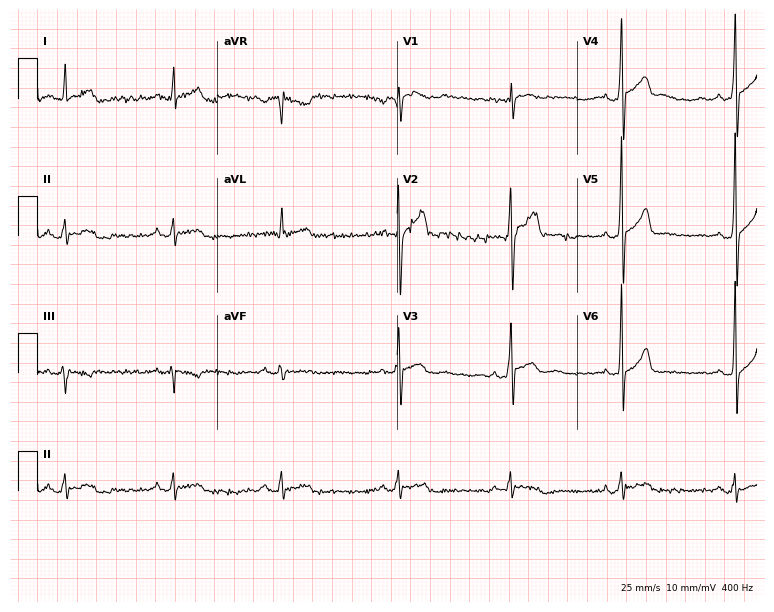
ECG — a 31-year-old male. Labelled as a normal ECG.